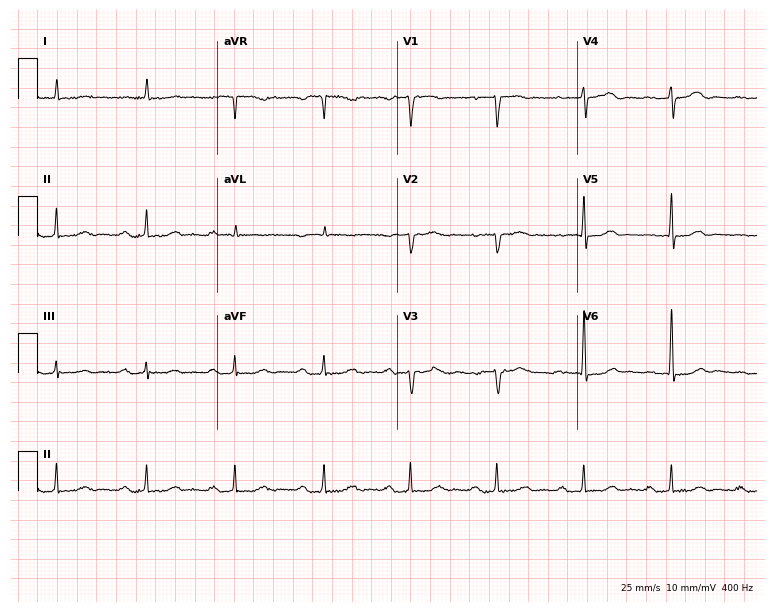
12-lead ECG from a male patient, 83 years old. Shows first-degree AV block.